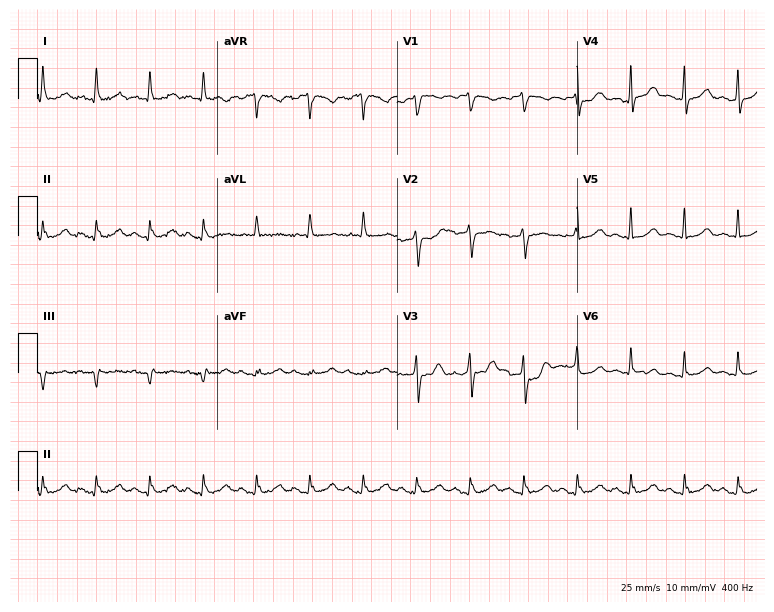
Standard 12-lead ECG recorded from a 60-year-old male. None of these six findings is recorded: first-degree AV block, right bundle branch block (RBBB), left bundle branch block (LBBB), sinus bradycardia, atrial fibrillation (AF), sinus tachycardia.